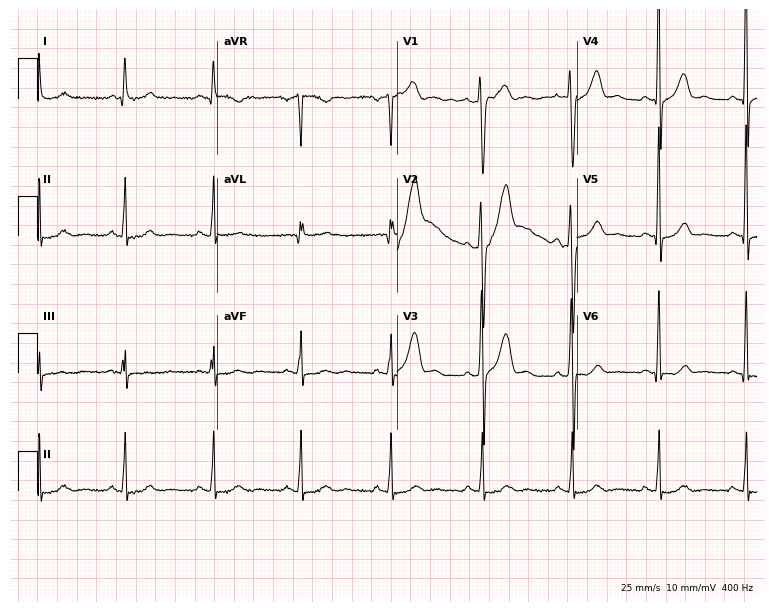
ECG (7.3-second recording at 400 Hz) — a male patient, 40 years old. Screened for six findings — first-degree AV block, right bundle branch block, left bundle branch block, sinus bradycardia, atrial fibrillation, sinus tachycardia — none is recorded. Only these six findings were labelled.